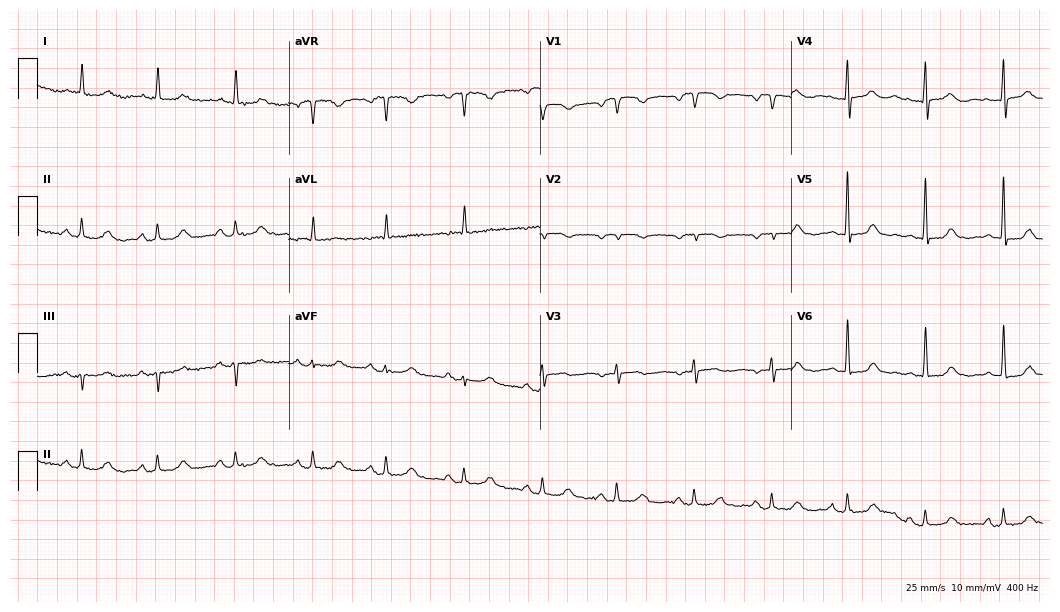
Electrocardiogram, an 83-year-old woman. Of the six screened findings (first-degree AV block, right bundle branch block (RBBB), left bundle branch block (LBBB), sinus bradycardia, atrial fibrillation (AF), sinus tachycardia), none is recorded.